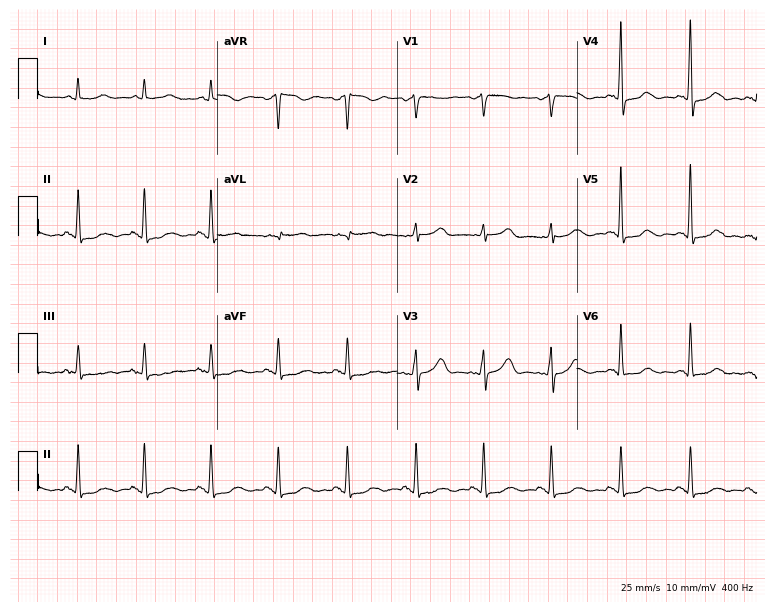
Electrocardiogram, a 64-year-old female. Of the six screened findings (first-degree AV block, right bundle branch block (RBBB), left bundle branch block (LBBB), sinus bradycardia, atrial fibrillation (AF), sinus tachycardia), none is recorded.